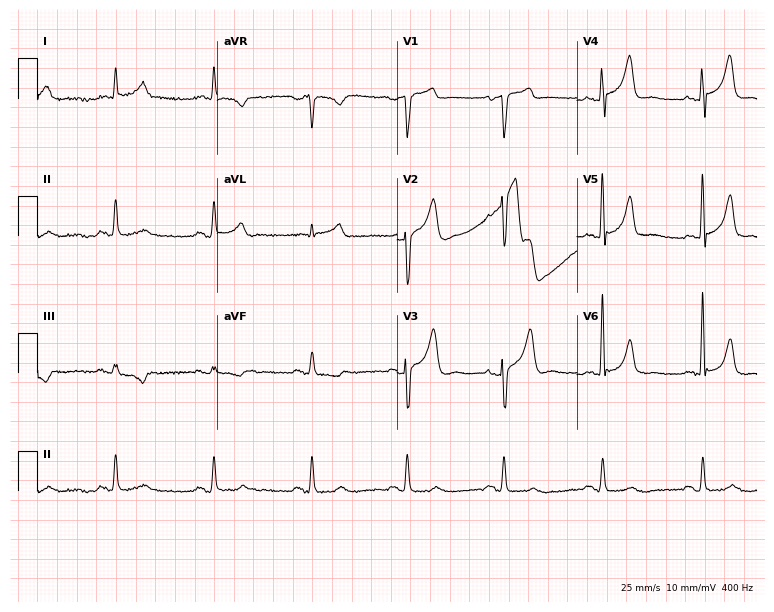
Electrocardiogram, a 72-year-old male. Overall reading on record: normal ECG.